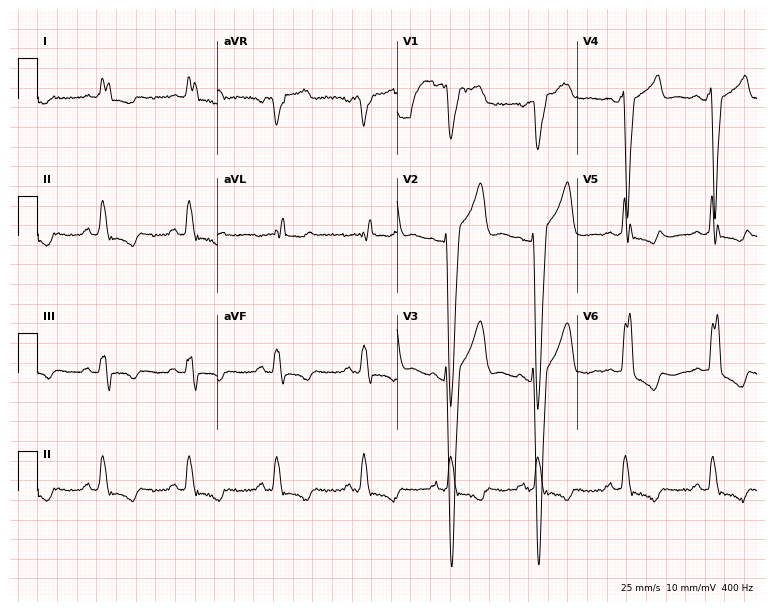
Standard 12-lead ECG recorded from a male, 83 years old. The tracing shows left bundle branch block.